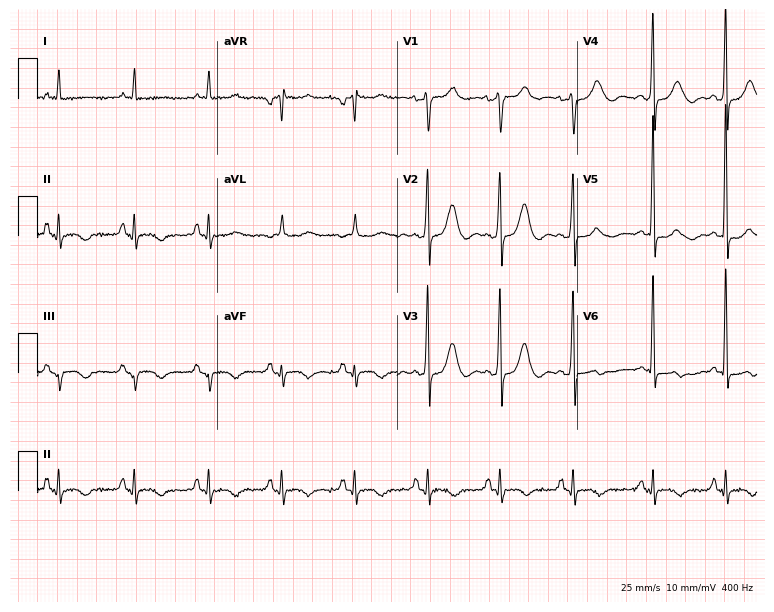
Standard 12-lead ECG recorded from an 81-year-old woman. None of these six findings is recorded: first-degree AV block, right bundle branch block, left bundle branch block, sinus bradycardia, atrial fibrillation, sinus tachycardia. Other findings, if any, are not listed.